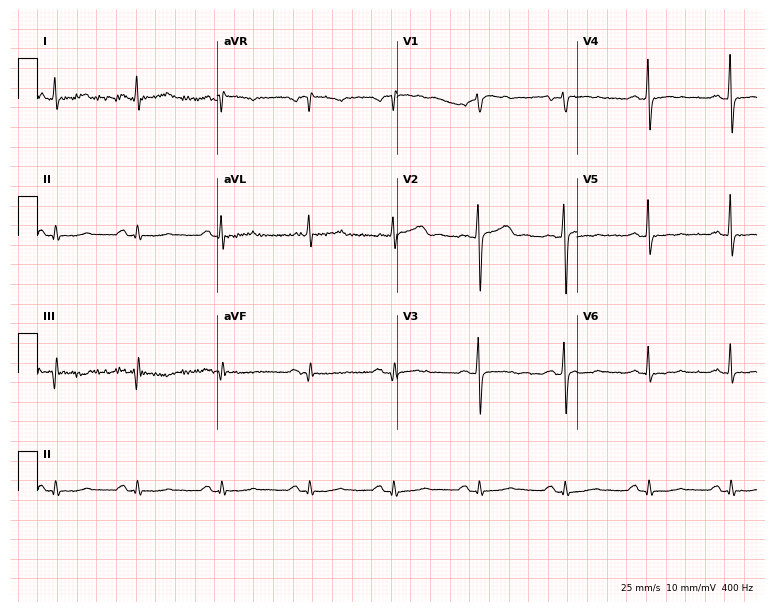
ECG (7.3-second recording at 400 Hz) — a 62-year-old man. Screened for six findings — first-degree AV block, right bundle branch block (RBBB), left bundle branch block (LBBB), sinus bradycardia, atrial fibrillation (AF), sinus tachycardia — none is recorded.